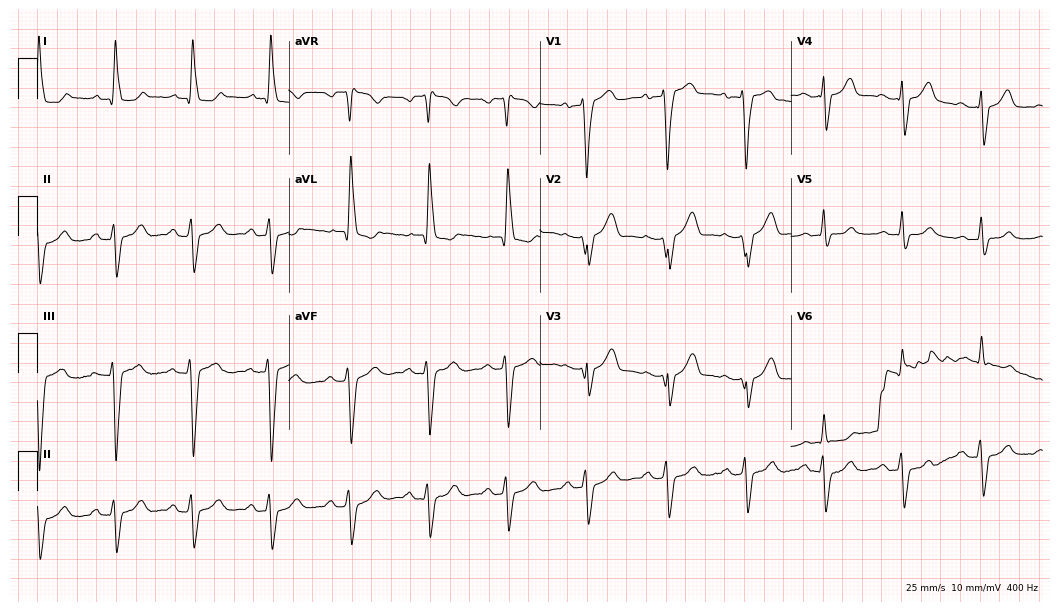
12-lead ECG from a 56-year-old female (10.2-second recording at 400 Hz). No first-degree AV block, right bundle branch block, left bundle branch block, sinus bradycardia, atrial fibrillation or sinus tachycardia recorded for this tracing. Other findings, if any, are not listed.